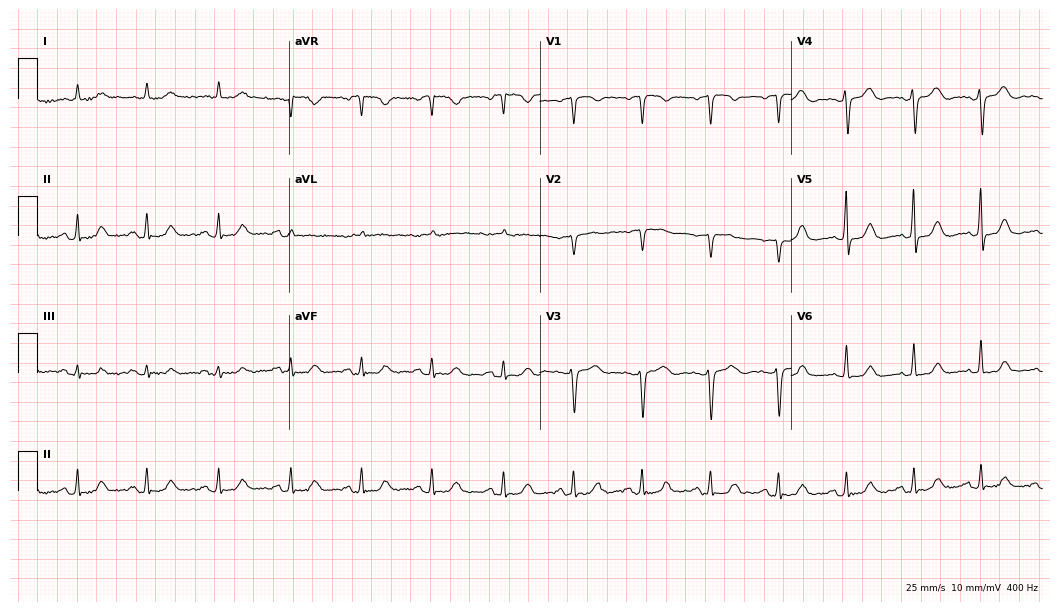
Standard 12-lead ECG recorded from a 69-year-old female patient (10.2-second recording at 400 Hz). Read as a normal ECG.